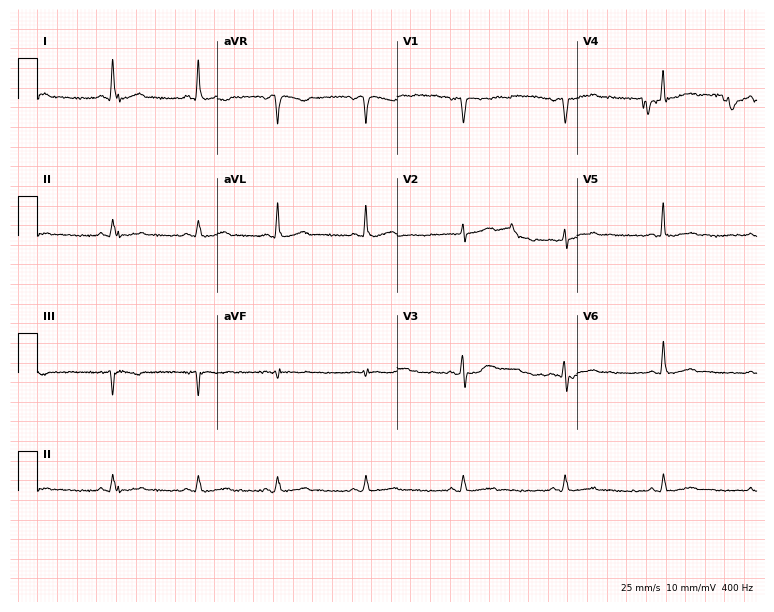
Resting 12-lead electrocardiogram. Patient: a man, 47 years old. None of these six findings is recorded: first-degree AV block, right bundle branch block (RBBB), left bundle branch block (LBBB), sinus bradycardia, atrial fibrillation (AF), sinus tachycardia. Only these six findings were labelled.